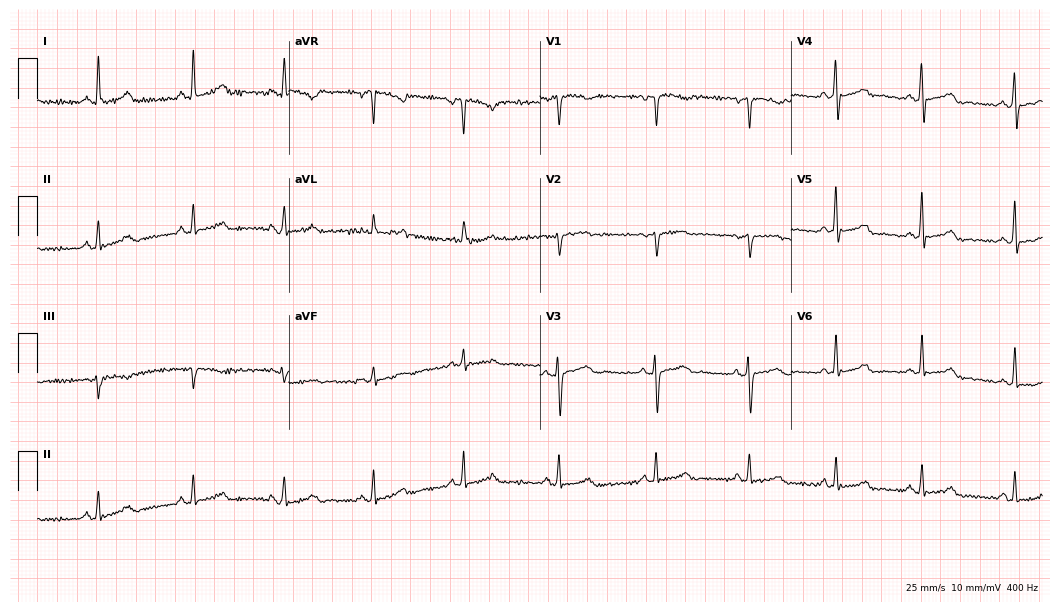
12-lead ECG from a 43-year-old female. Labelled as a normal ECG.